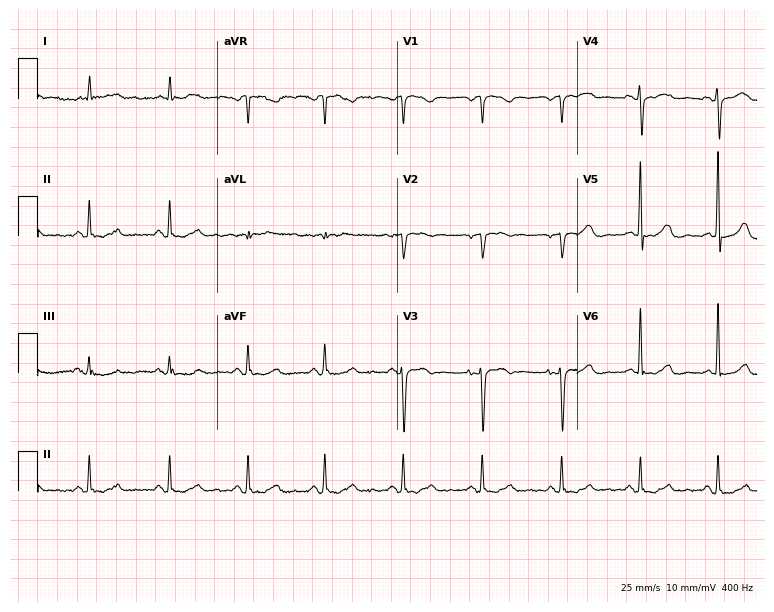
Electrocardiogram, a woman, 76 years old. Of the six screened findings (first-degree AV block, right bundle branch block, left bundle branch block, sinus bradycardia, atrial fibrillation, sinus tachycardia), none is recorded. Findings outside these six are not listed.